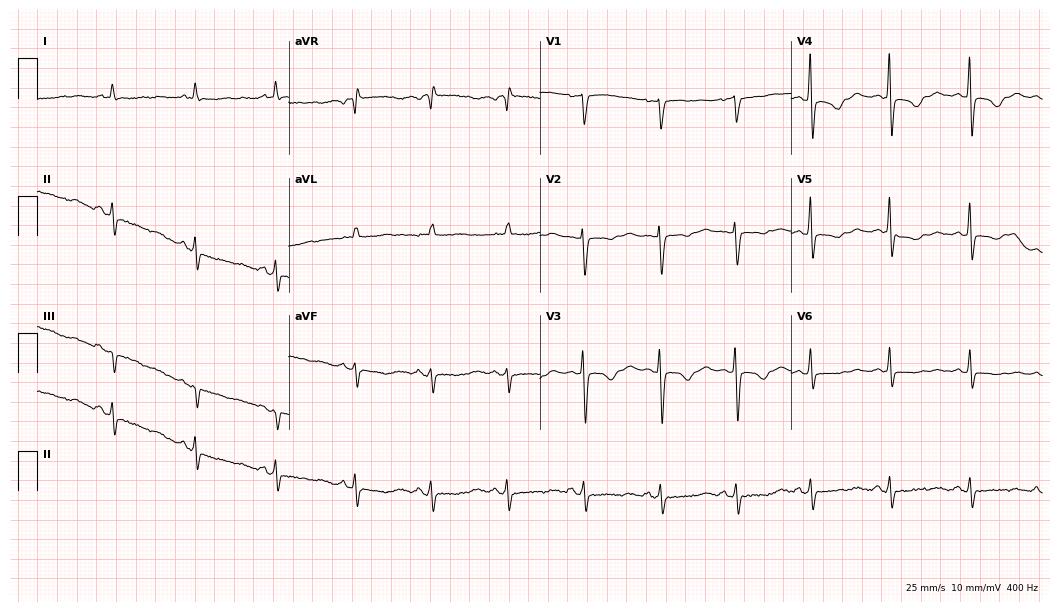
Electrocardiogram, a 54-year-old woman. Of the six screened findings (first-degree AV block, right bundle branch block, left bundle branch block, sinus bradycardia, atrial fibrillation, sinus tachycardia), none is recorded. Findings outside these six are not listed.